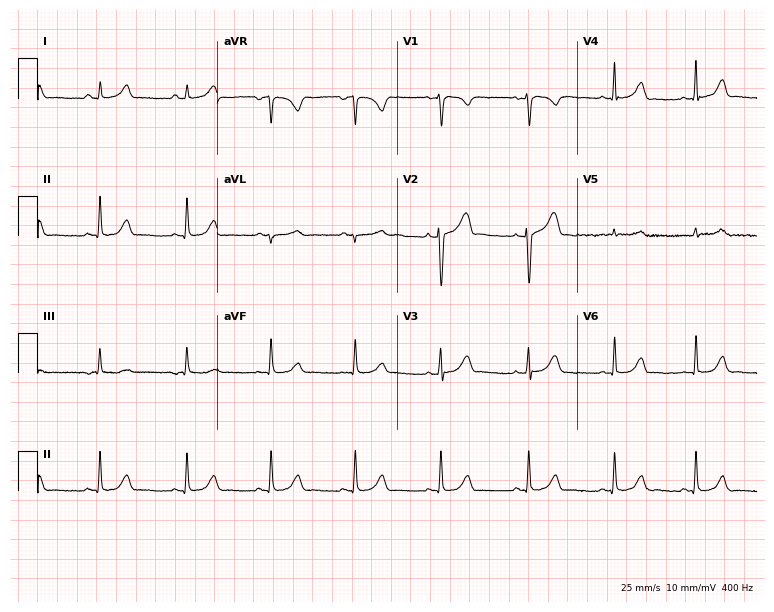
12-lead ECG from a female, 19 years old. Labelled as a normal ECG.